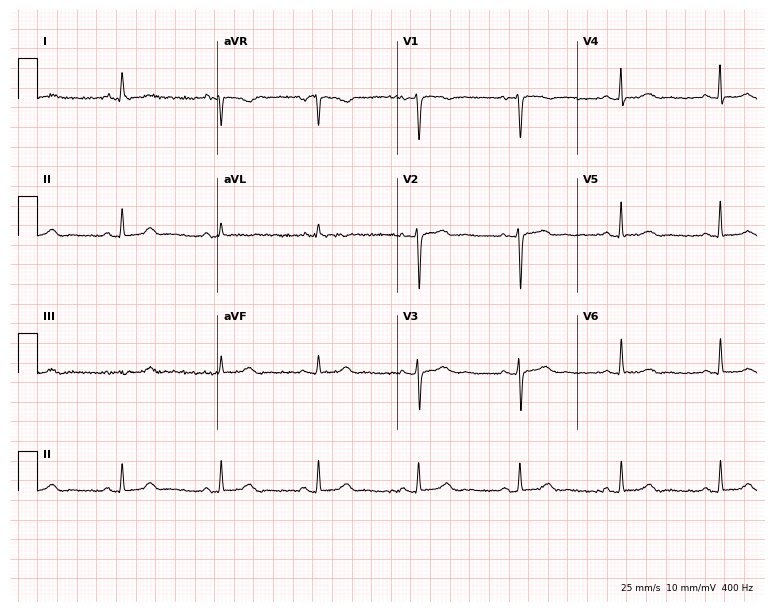
Standard 12-lead ECG recorded from a 60-year-old female (7.3-second recording at 400 Hz). Read as a normal ECG.